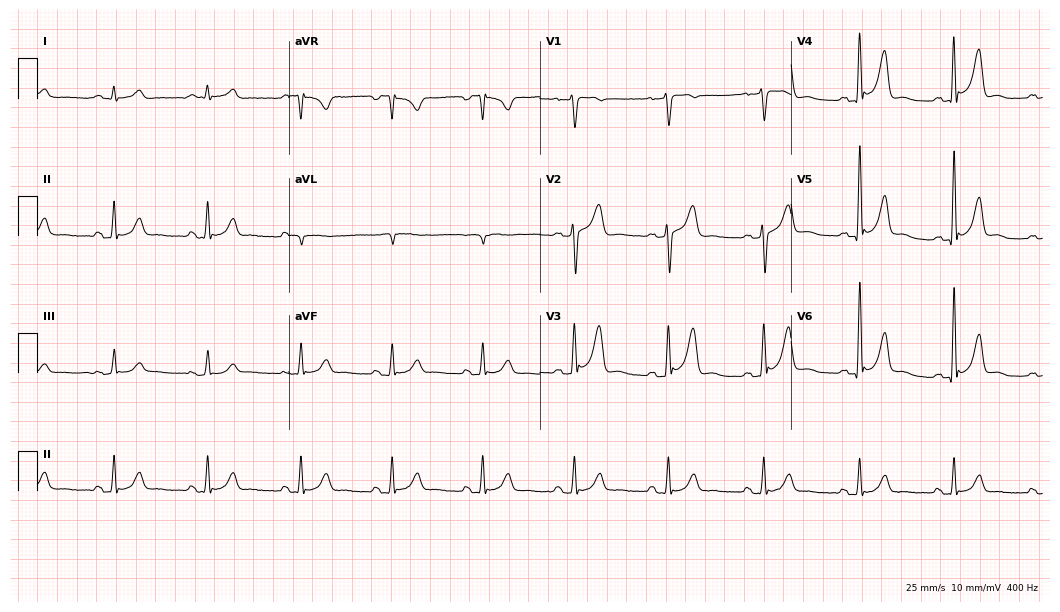
12-lead ECG (10.2-second recording at 400 Hz) from a 49-year-old male patient. Labelled as a normal ECG.